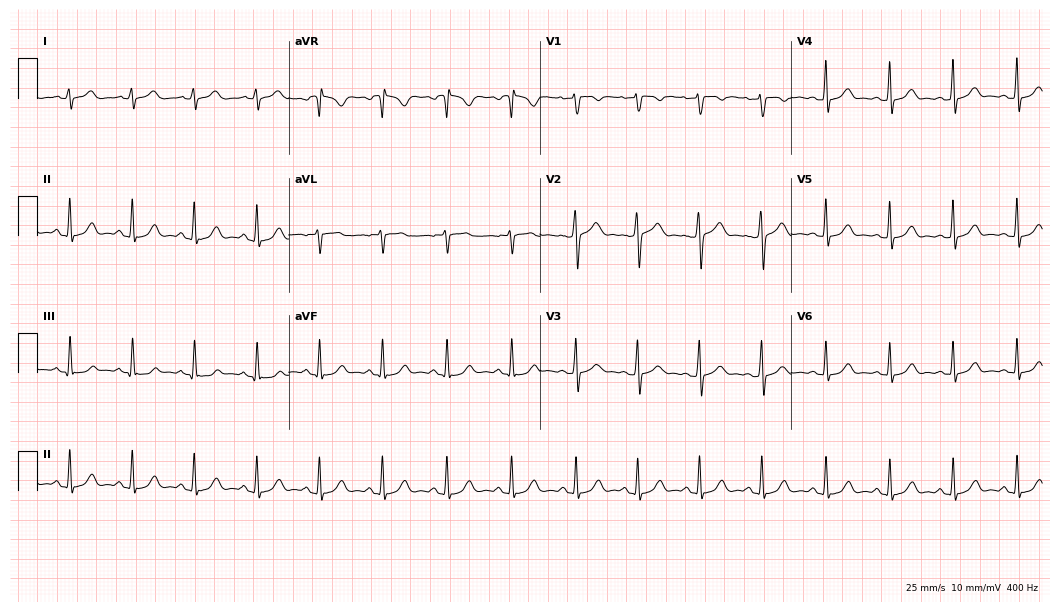
ECG (10.2-second recording at 400 Hz) — a 30-year-old female patient. Labelled as a normal ECG.